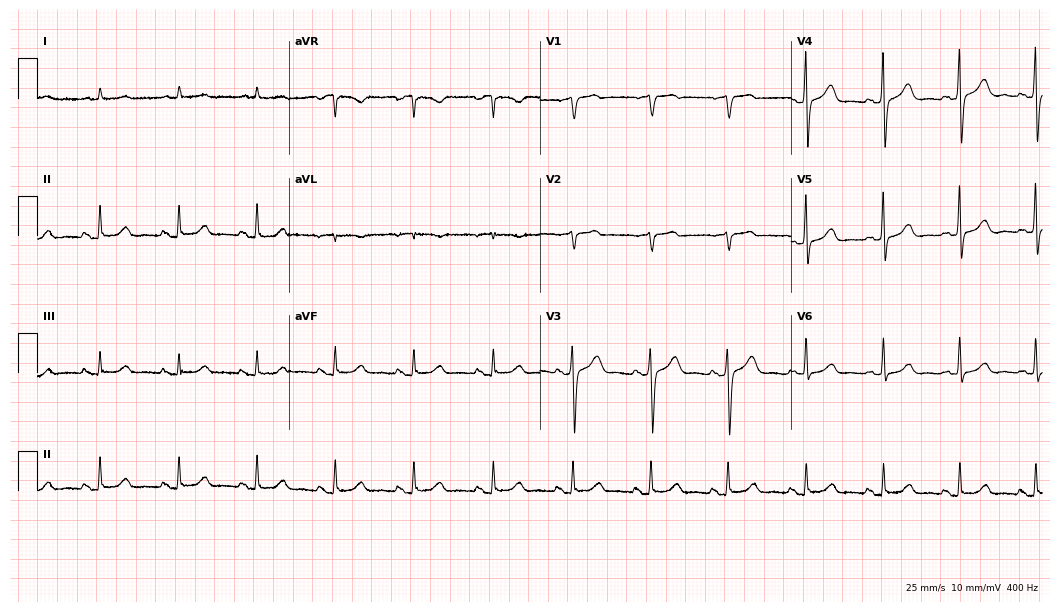
12-lead ECG from a 77-year-old male (10.2-second recording at 400 Hz). Recorded interpretation: within normal limits.